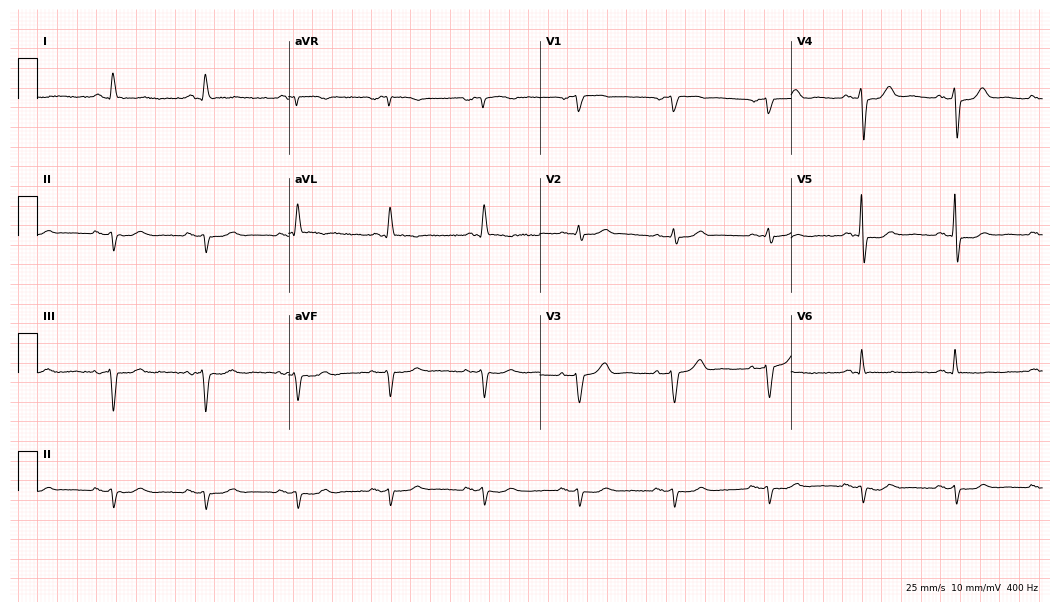
Resting 12-lead electrocardiogram. Patient: a male, 77 years old. None of these six findings is recorded: first-degree AV block, right bundle branch block, left bundle branch block, sinus bradycardia, atrial fibrillation, sinus tachycardia.